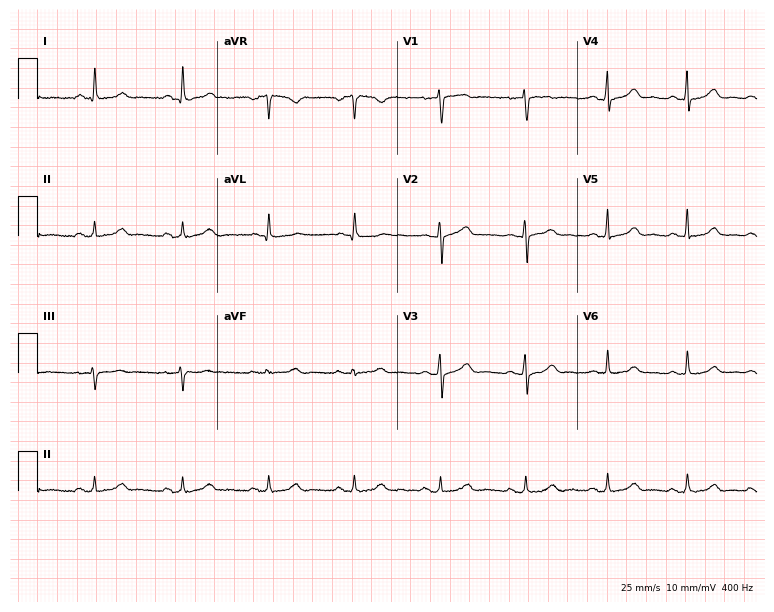
12-lead ECG (7.3-second recording at 400 Hz) from a 56-year-old female. Labelled as a normal ECG.